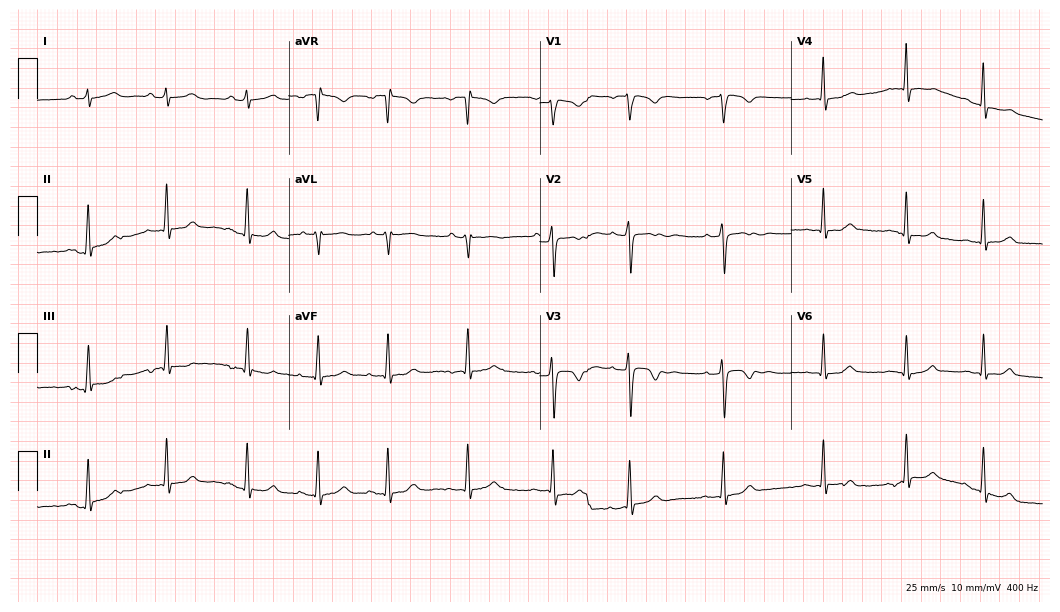
12-lead ECG (10.2-second recording at 400 Hz) from a female, 23 years old. Labelled as a normal ECG.